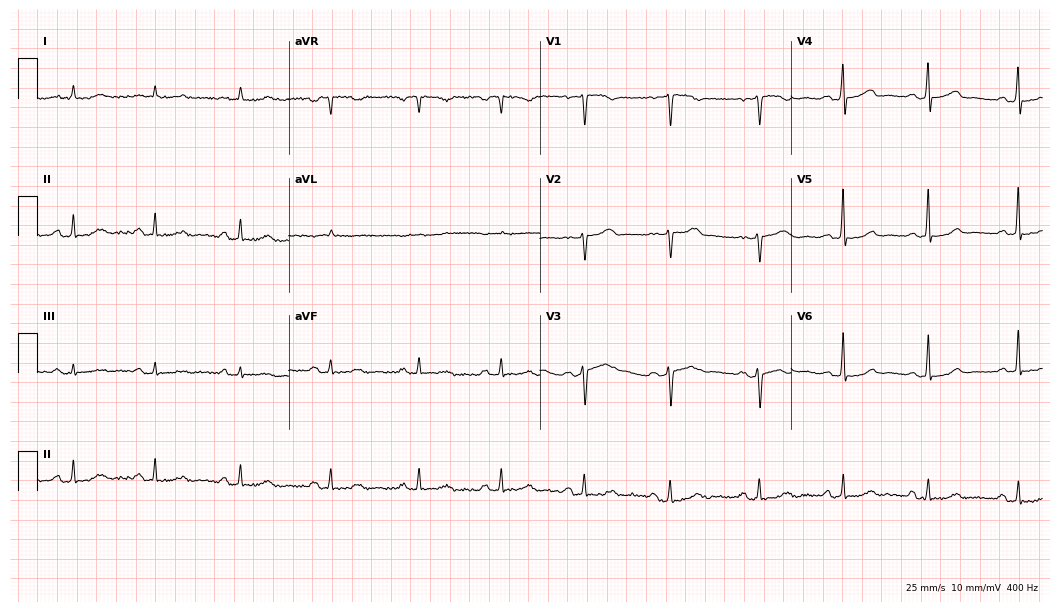
12-lead ECG from a 53-year-old female. No first-degree AV block, right bundle branch block, left bundle branch block, sinus bradycardia, atrial fibrillation or sinus tachycardia recorded for this tracing.